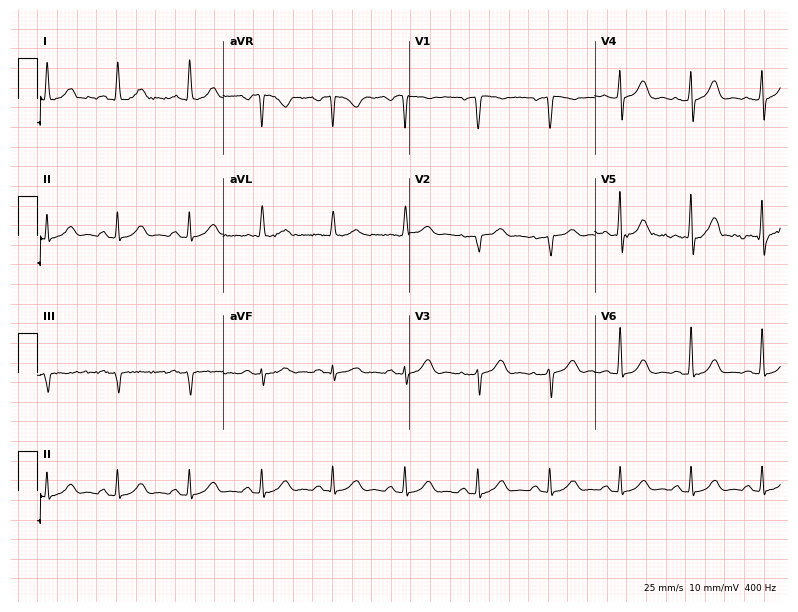
12-lead ECG from a 50-year-old female patient (7.6-second recording at 400 Hz). No first-degree AV block, right bundle branch block (RBBB), left bundle branch block (LBBB), sinus bradycardia, atrial fibrillation (AF) or sinus tachycardia recorded for this tracing.